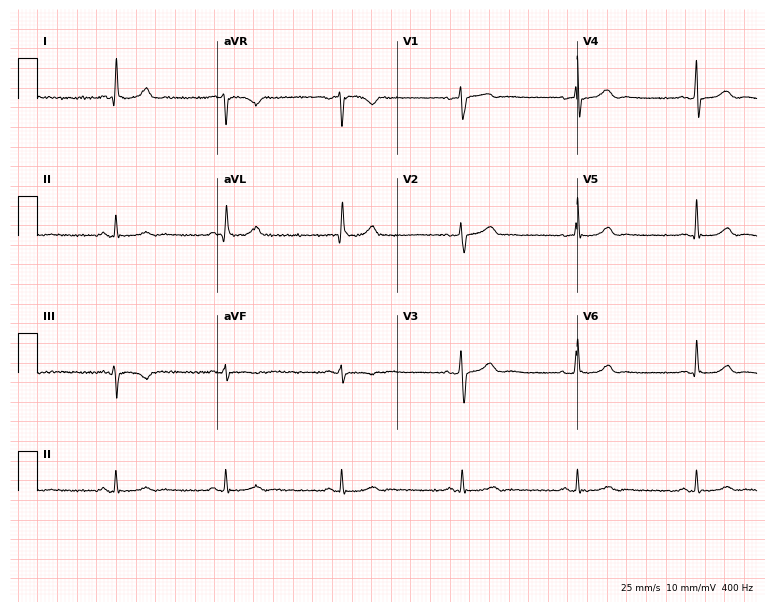
Electrocardiogram, a female, 63 years old. Overall reading on record: normal ECG.